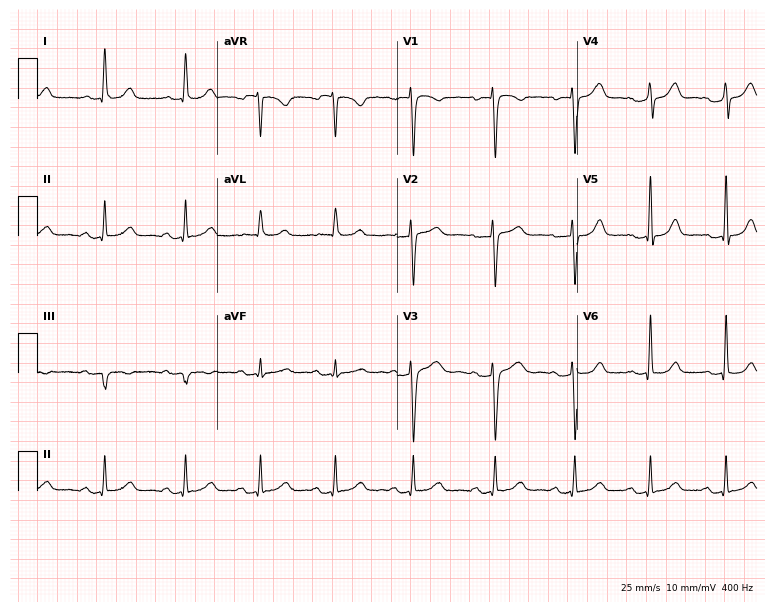
ECG — a 35-year-old female patient. Labelled as a normal ECG.